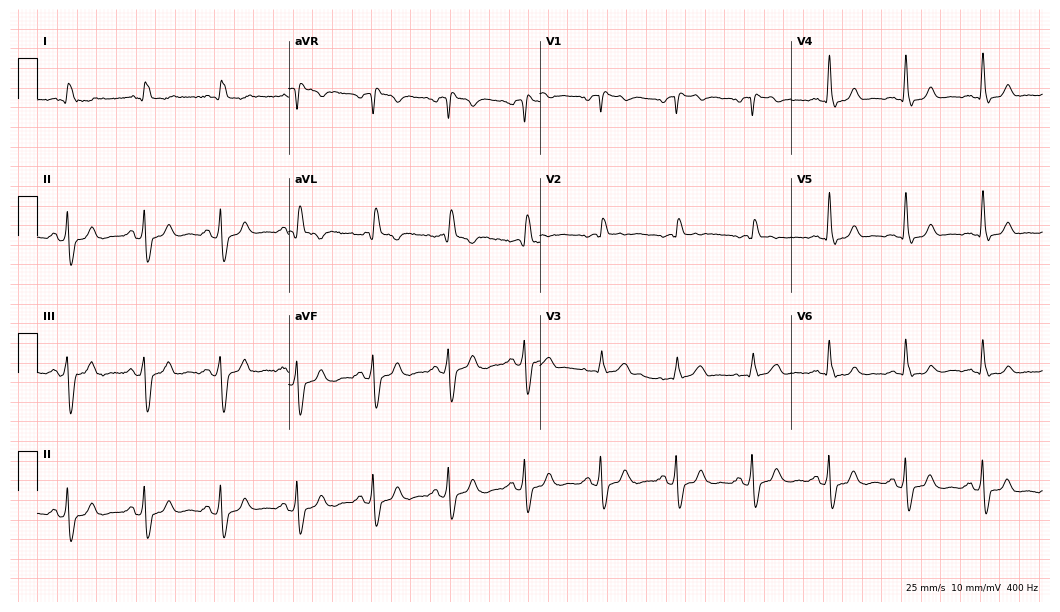
ECG — a male patient, 73 years old. Findings include right bundle branch block.